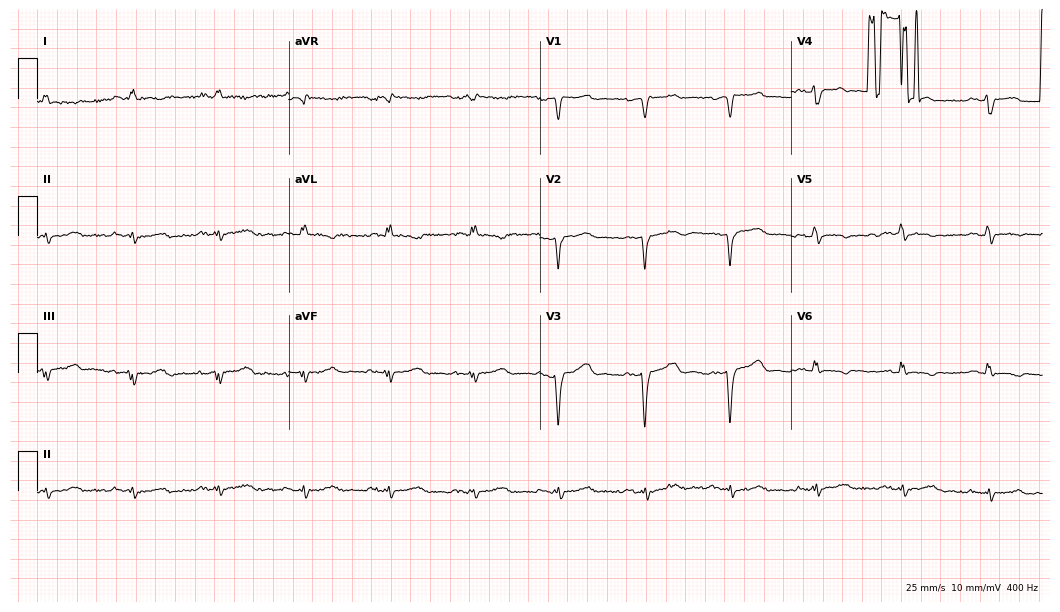
ECG (10.2-second recording at 400 Hz) — a 50-year-old male. Screened for six findings — first-degree AV block, right bundle branch block, left bundle branch block, sinus bradycardia, atrial fibrillation, sinus tachycardia — none is recorded. Findings outside these six are not listed.